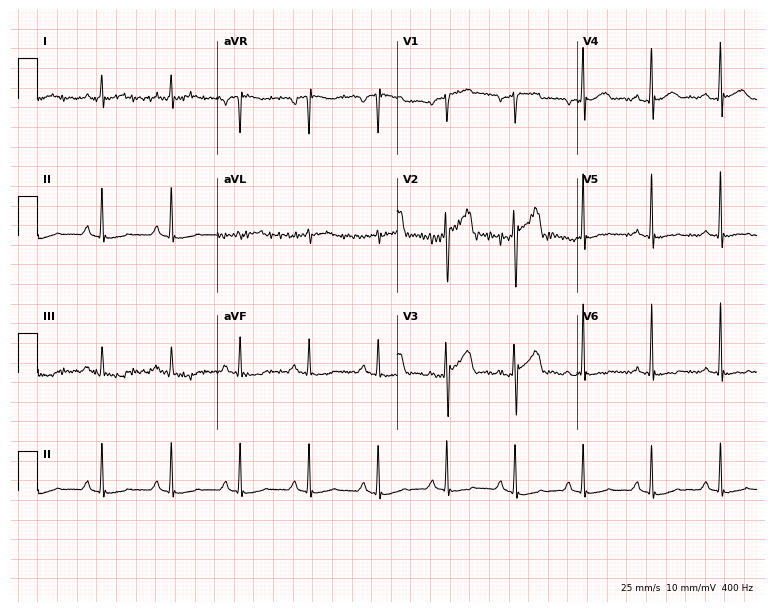
Standard 12-lead ECG recorded from a 52-year-old male patient. None of these six findings is recorded: first-degree AV block, right bundle branch block (RBBB), left bundle branch block (LBBB), sinus bradycardia, atrial fibrillation (AF), sinus tachycardia.